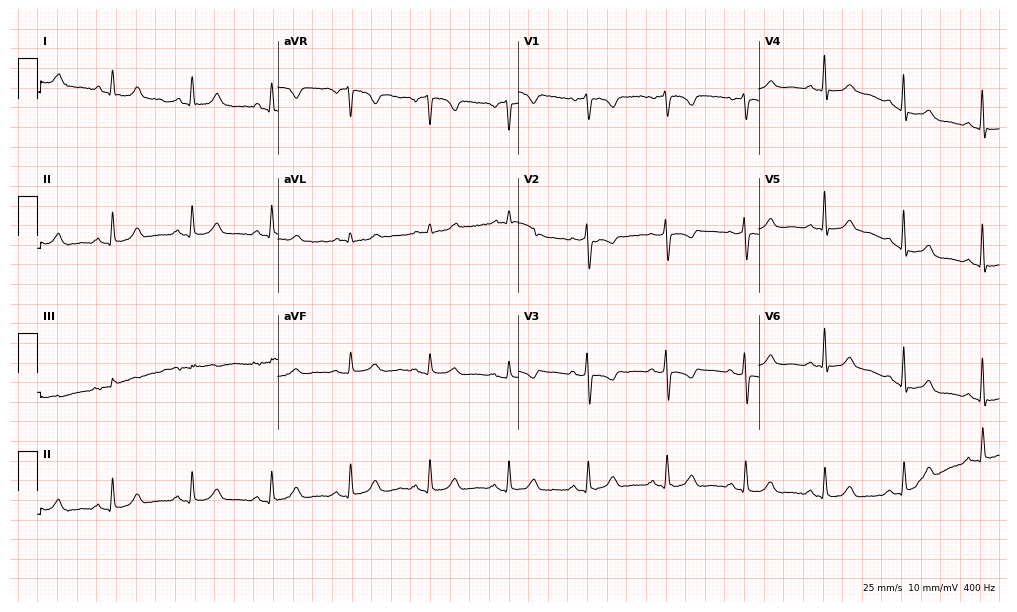
Standard 12-lead ECG recorded from a 75-year-old woman (9.8-second recording at 400 Hz). Read as a normal ECG.